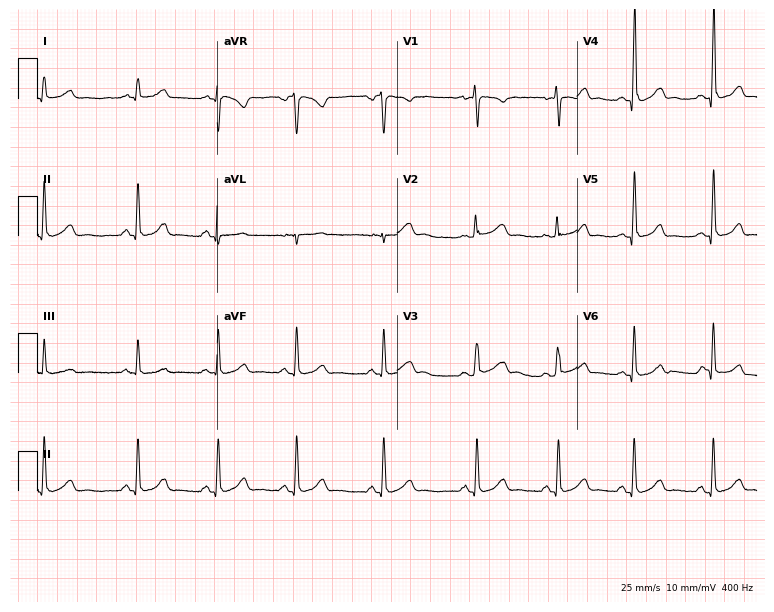
Electrocardiogram (7.3-second recording at 400 Hz), a 30-year-old woman. Overall reading on record: normal ECG.